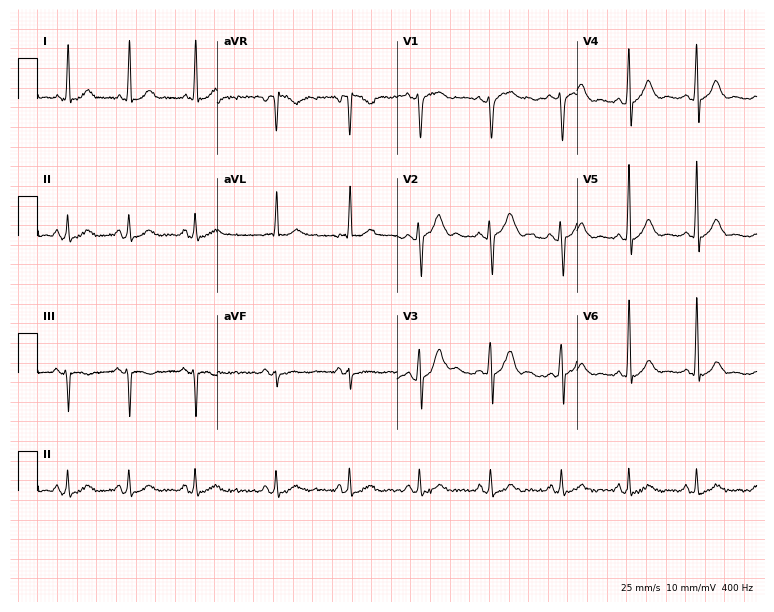
12-lead ECG (7.3-second recording at 400 Hz) from a man, 35 years old. Screened for six findings — first-degree AV block, right bundle branch block, left bundle branch block, sinus bradycardia, atrial fibrillation, sinus tachycardia — none is recorded. Findings outside these six are not listed.